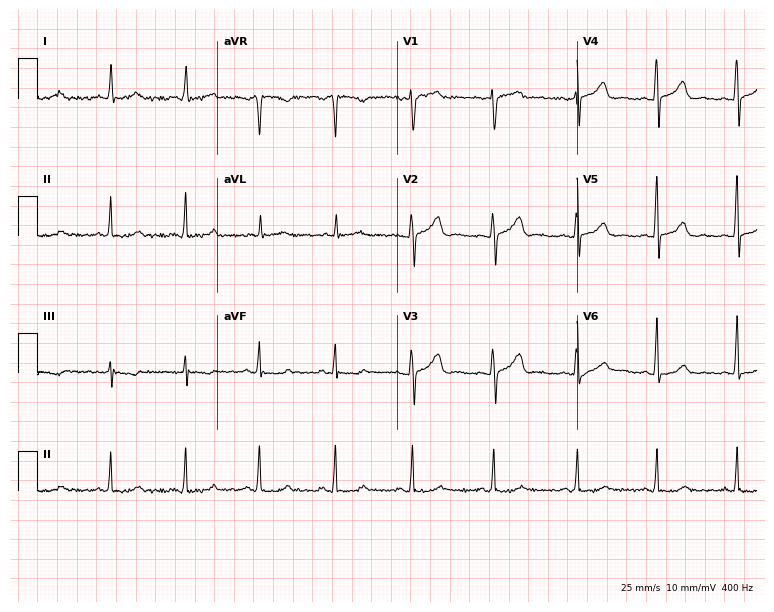
12-lead ECG (7.3-second recording at 400 Hz) from a 43-year-old female patient. Labelled as a normal ECG.